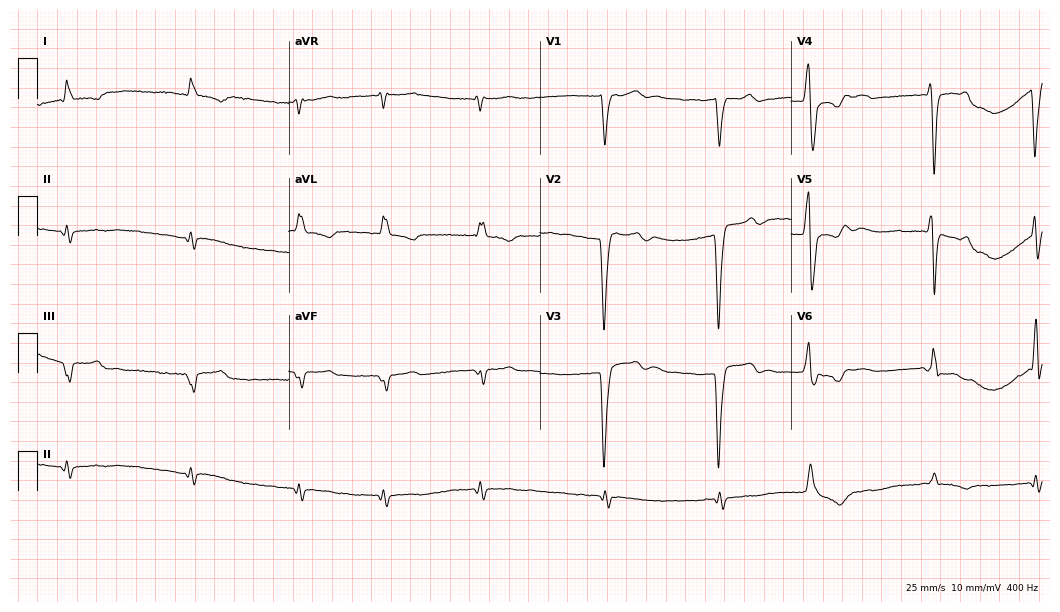
12-lead ECG (10.2-second recording at 400 Hz) from a man, 58 years old. Findings include atrial fibrillation.